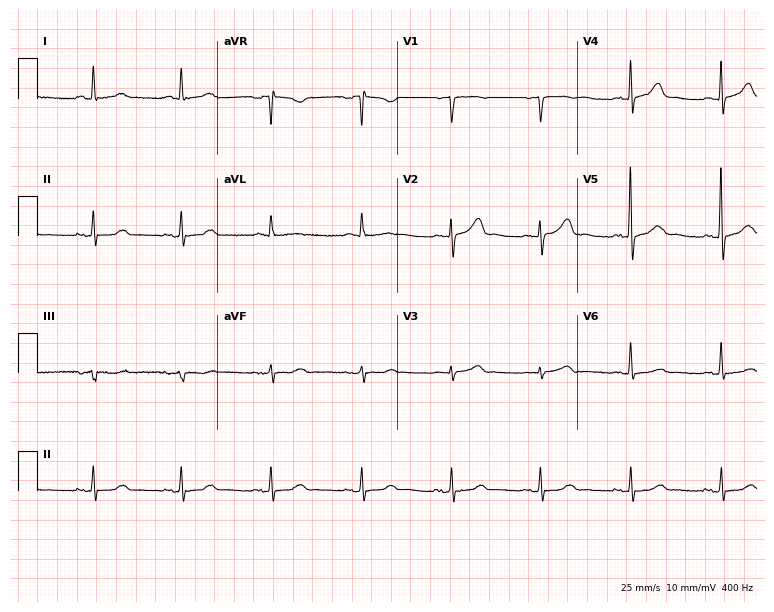
Standard 12-lead ECG recorded from a female, 70 years old. None of these six findings is recorded: first-degree AV block, right bundle branch block, left bundle branch block, sinus bradycardia, atrial fibrillation, sinus tachycardia.